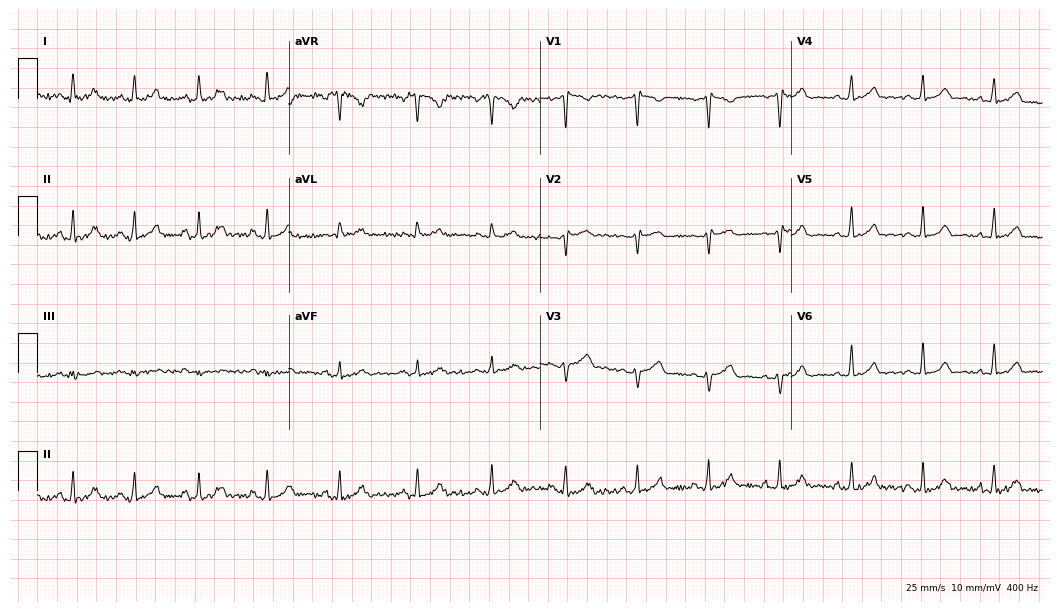
12-lead ECG from a female, 36 years old. Labelled as a normal ECG.